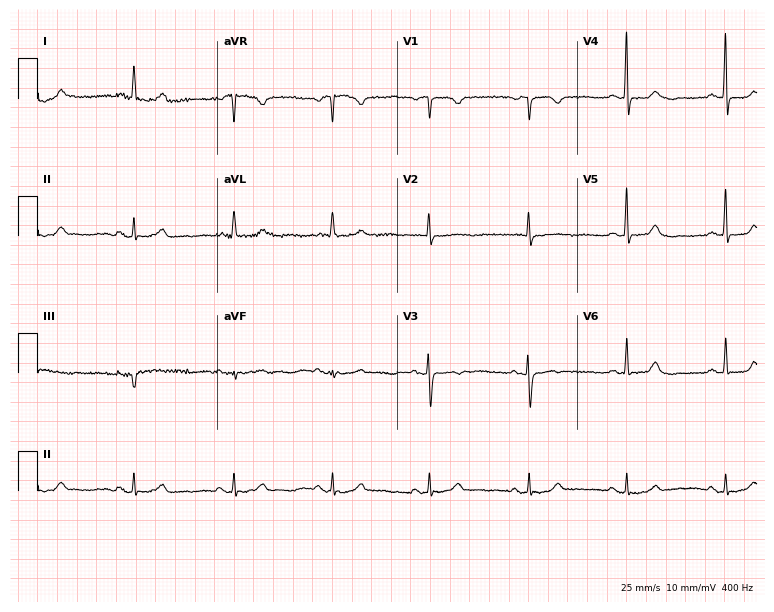
ECG — a 74-year-old woman. Screened for six findings — first-degree AV block, right bundle branch block (RBBB), left bundle branch block (LBBB), sinus bradycardia, atrial fibrillation (AF), sinus tachycardia — none is recorded.